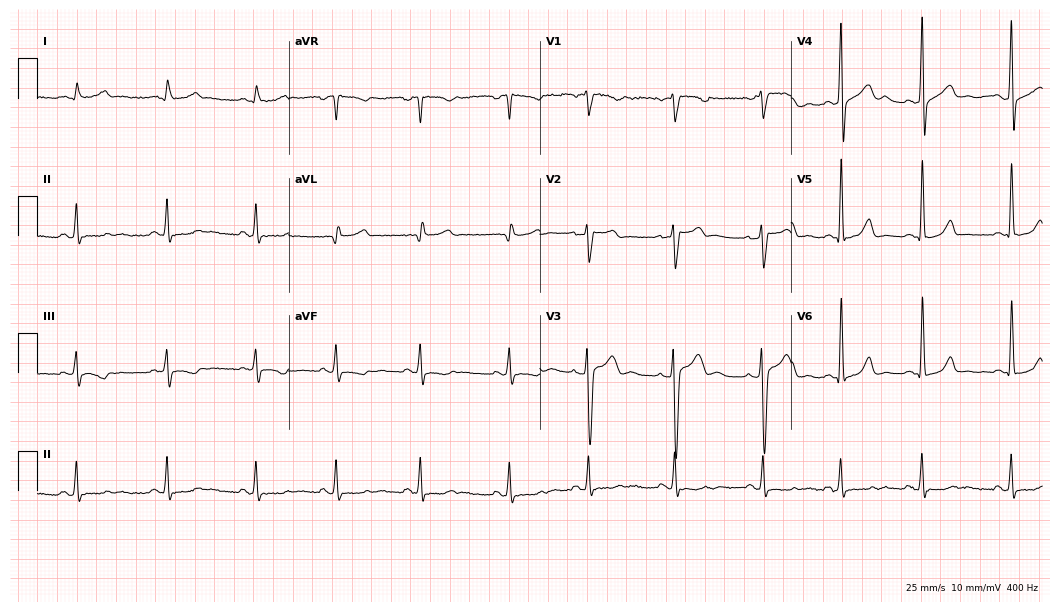
Resting 12-lead electrocardiogram (10.2-second recording at 400 Hz). Patient: a 35-year-old female. Read as a normal ECG.